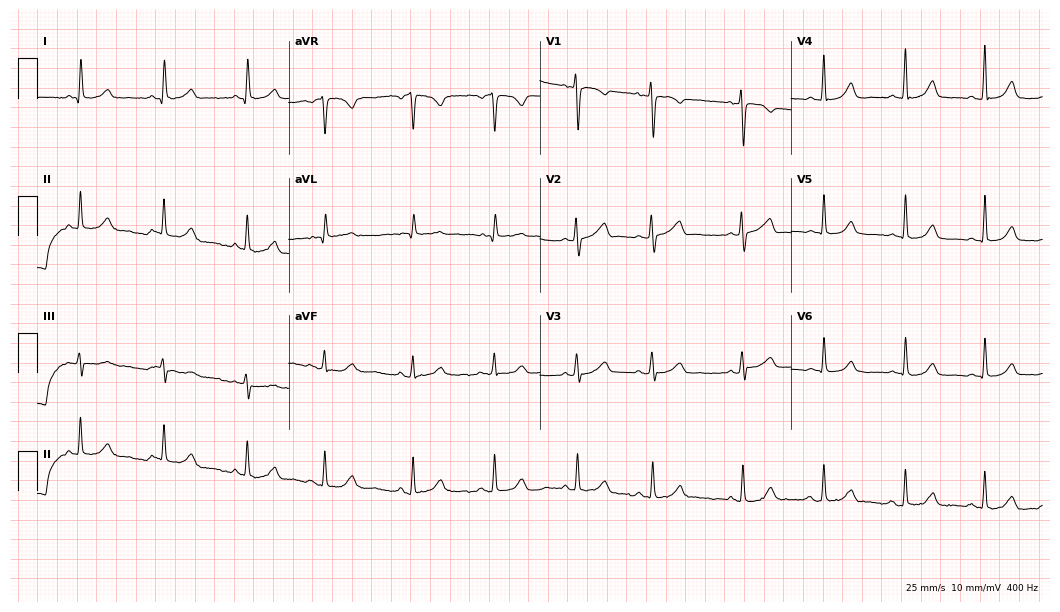
ECG — a woman, 70 years old. Screened for six findings — first-degree AV block, right bundle branch block, left bundle branch block, sinus bradycardia, atrial fibrillation, sinus tachycardia — none is recorded. Only these six findings were labelled.